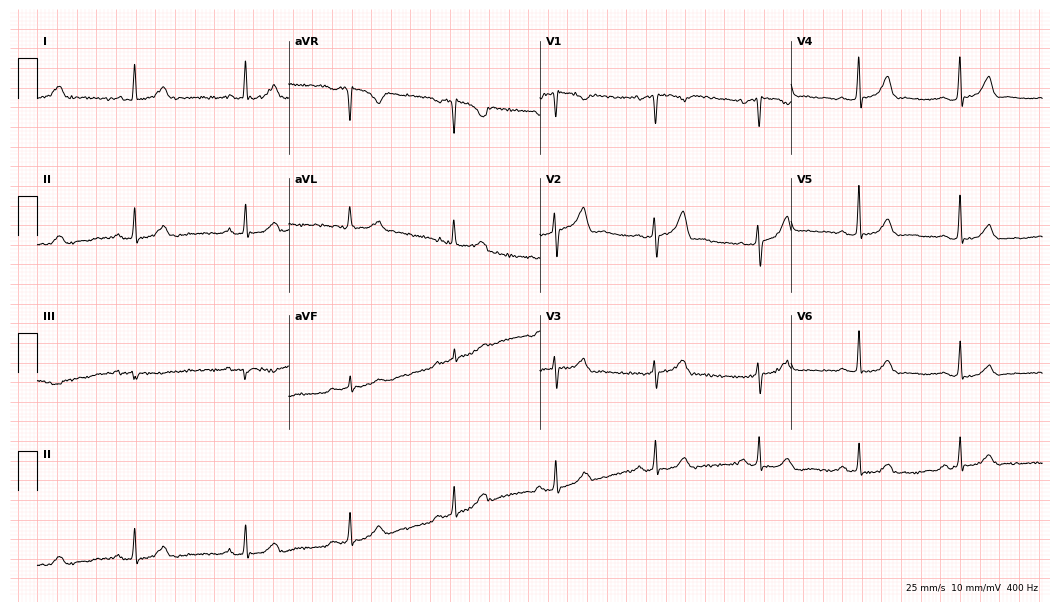
Resting 12-lead electrocardiogram (10.2-second recording at 400 Hz). Patient: a 68-year-old woman. Read as a normal ECG.